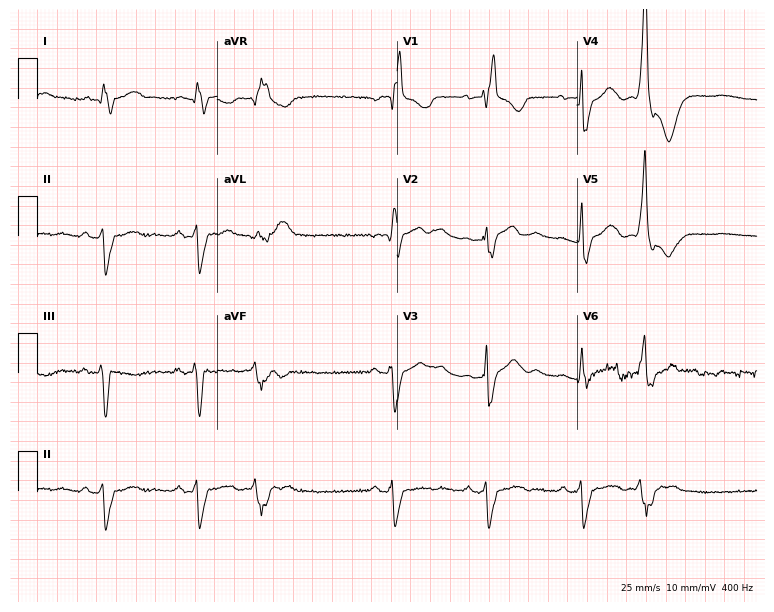
12-lead ECG from a man, 47 years old (7.3-second recording at 400 Hz). Shows right bundle branch block (RBBB).